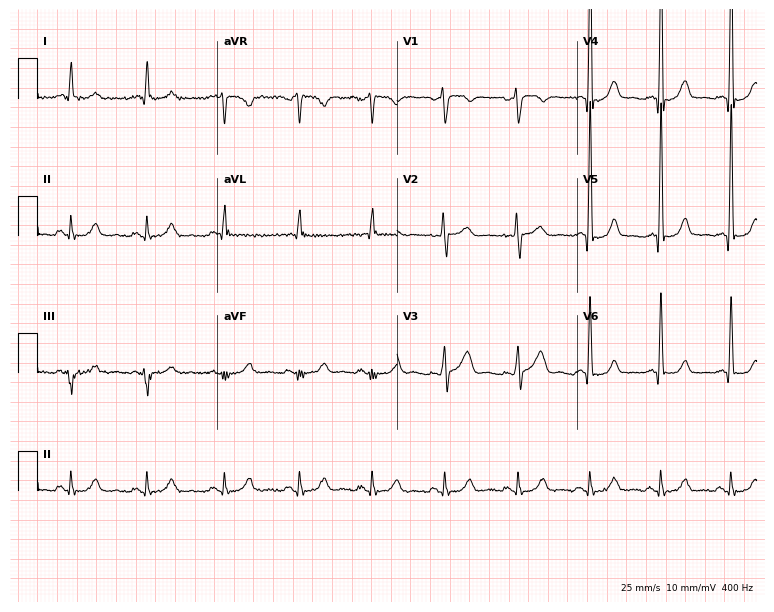
ECG — a 40-year-old male patient. Labelled as a normal ECG.